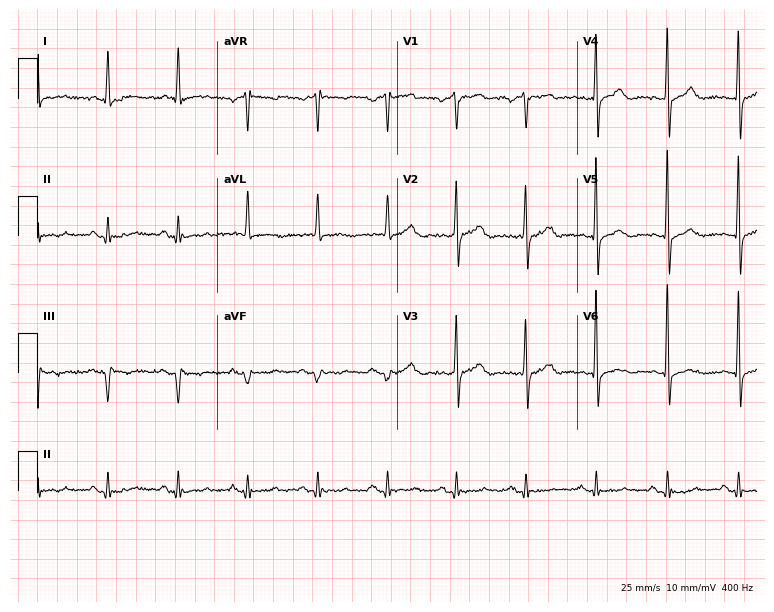
12-lead ECG (7.3-second recording at 400 Hz) from a man, 82 years old. Screened for six findings — first-degree AV block, right bundle branch block, left bundle branch block, sinus bradycardia, atrial fibrillation, sinus tachycardia — none is recorded. Other findings, if any, are not listed.